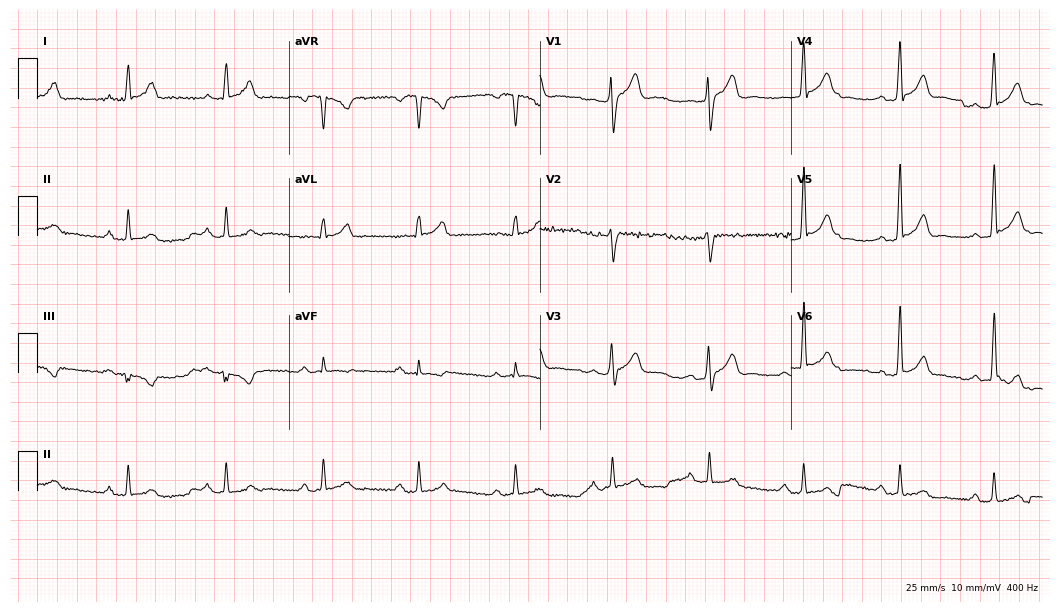
Electrocardiogram (10.2-second recording at 400 Hz), a 34-year-old male patient. Overall reading on record: normal ECG.